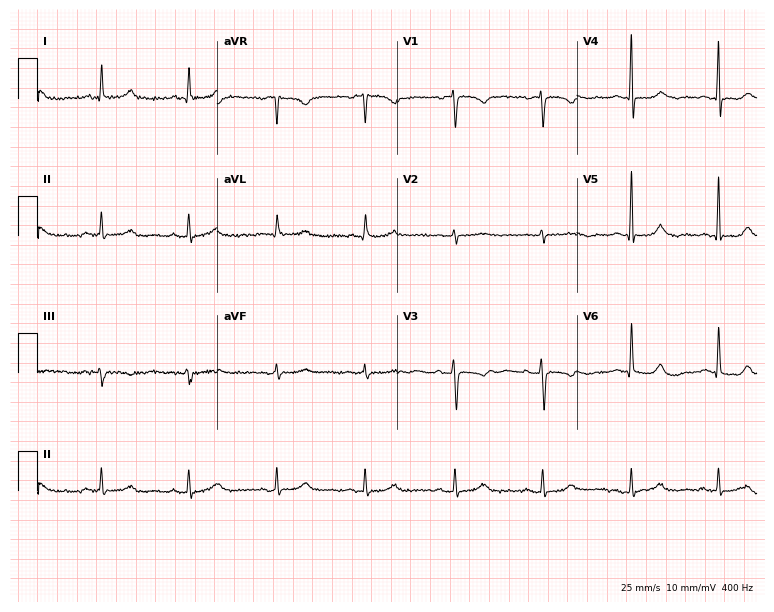
ECG (7.3-second recording at 400 Hz) — a woman, 48 years old. Screened for six findings — first-degree AV block, right bundle branch block (RBBB), left bundle branch block (LBBB), sinus bradycardia, atrial fibrillation (AF), sinus tachycardia — none is recorded.